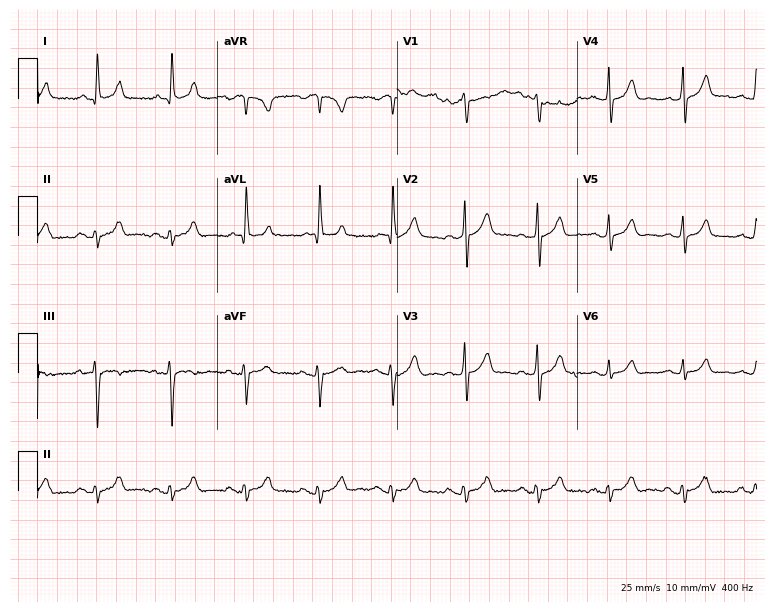
Resting 12-lead electrocardiogram (7.3-second recording at 400 Hz). Patient: a 72-year-old man. None of these six findings is recorded: first-degree AV block, right bundle branch block, left bundle branch block, sinus bradycardia, atrial fibrillation, sinus tachycardia. Other findings, if any, are not listed.